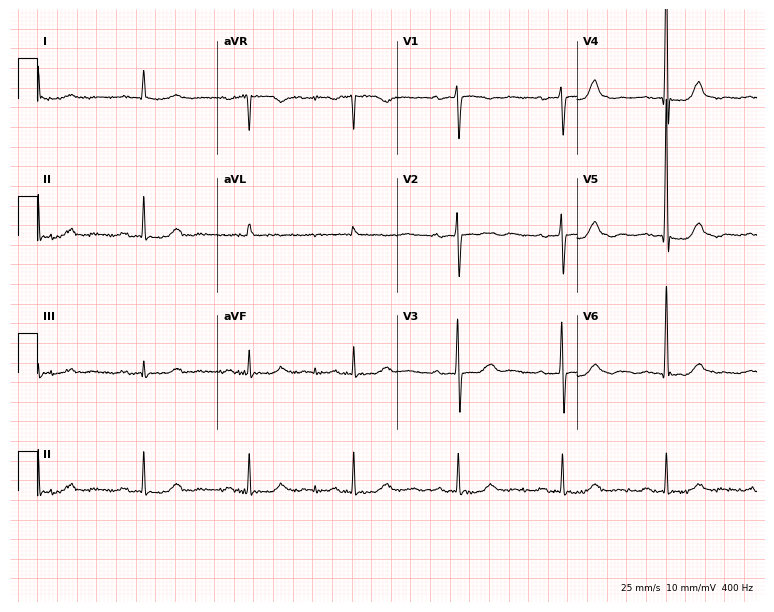
ECG — an 85-year-old female patient. Labelled as a normal ECG.